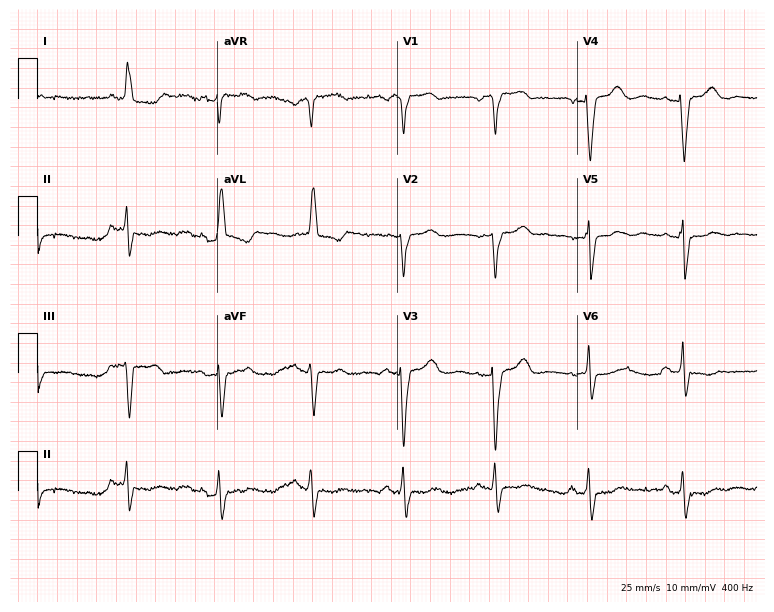
Electrocardiogram, a female patient, 75 years old. Of the six screened findings (first-degree AV block, right bundle branch block (RBBB), left bundle branch block (LBBB), sinus bradycardia, atrial fibrillation (AF), sinus tachycardia), none is recorded.